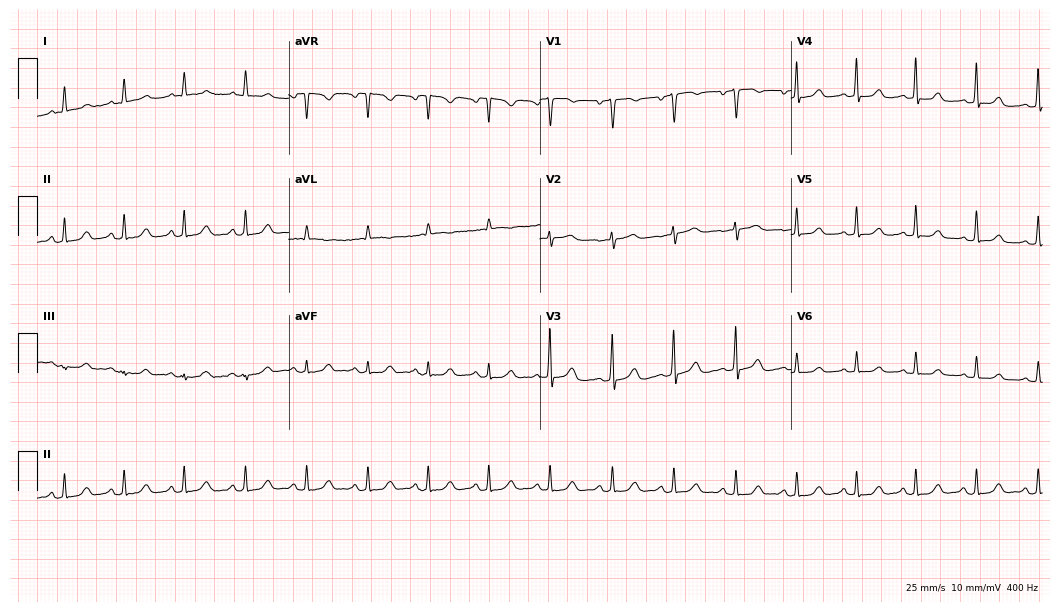
ECG — a 51-year-old woman. Labelled as a normal ECG.